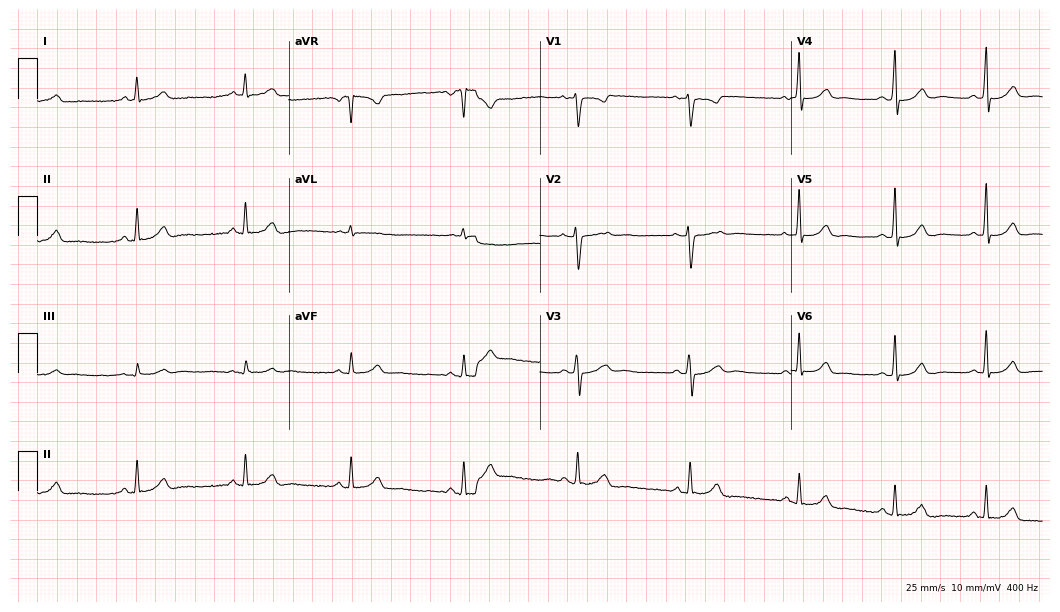
Resting 12-lead electrocardiogram. Patient: a 38-year-old female. Read as a normal ECG.